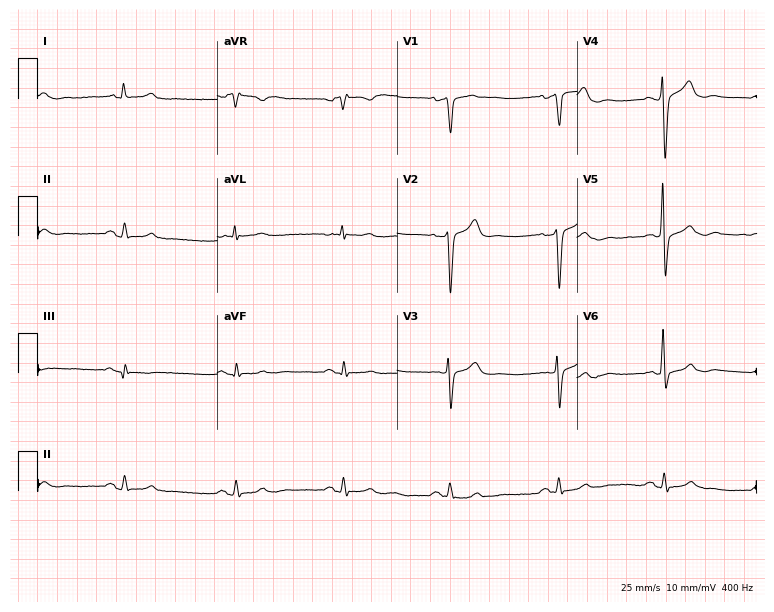
ECG — a 64-year-old male. Screened for six findings — first-degree AV block, right bundle branch block (RBBB), left bundle branch block (LBBB), sinus bradycardia, atrial fibrillation (AF), sinus tachycardia — none is recorded. Findings outside these six are not listed.